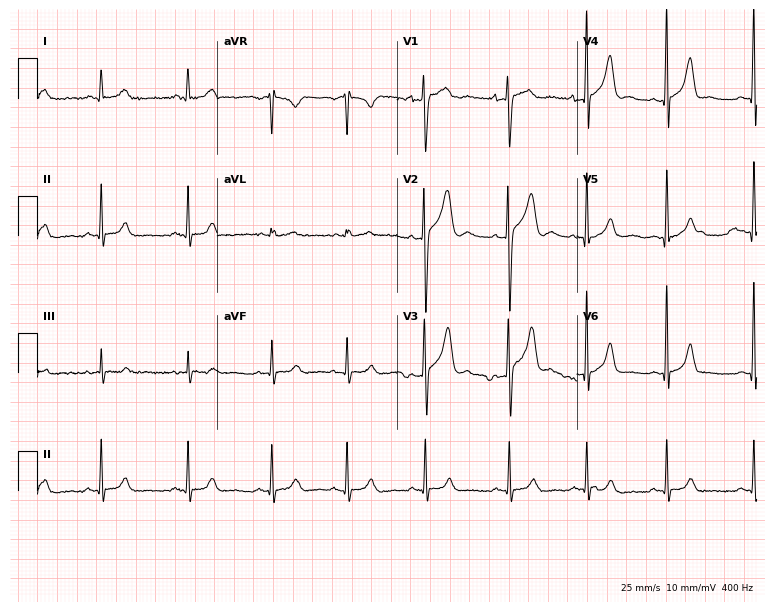
Electrocardiogram, a male, 27 years old. Overall reading on record: normal ECG.